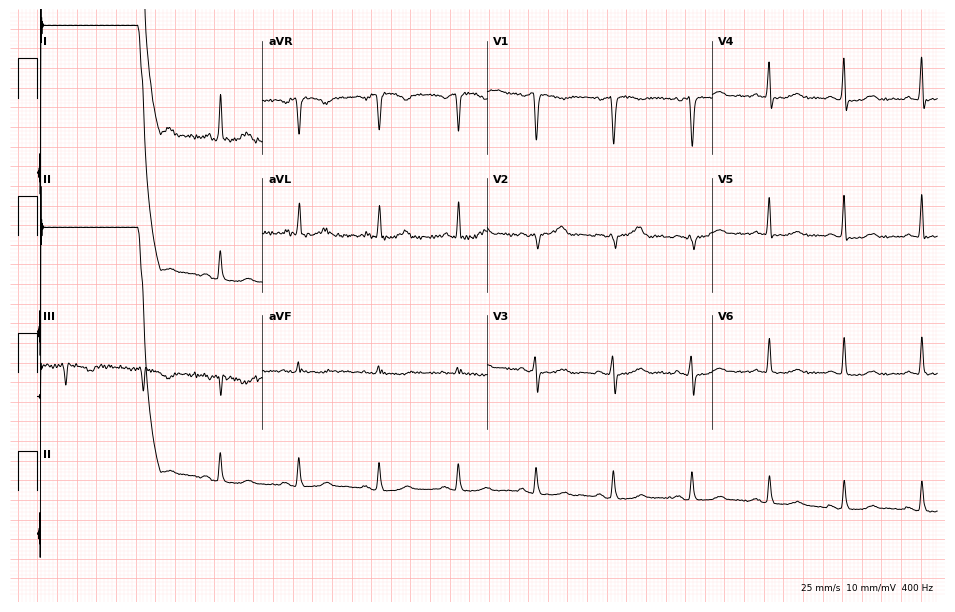
12-lead ECG from a 49-year-old woman (9.2-second recording at 400 Hz). No first-degree AV block, right bundle branch block, left bundle branch block, sinus bradycardia, atrial fibrillation or sinus tachycardia recorded for this tracing.